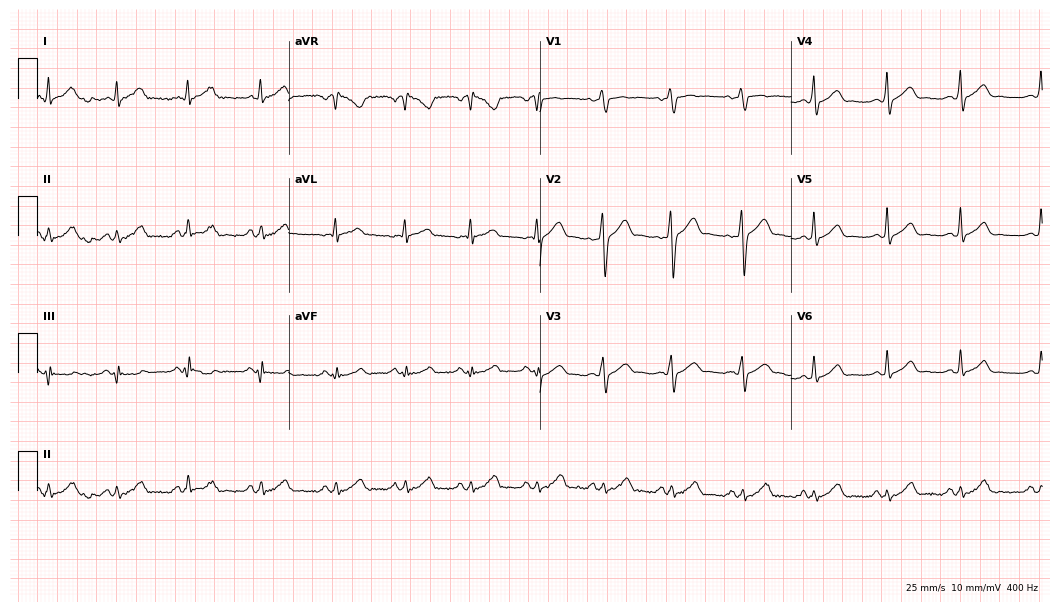
ECG — a 28-year-old male patient. Screened for six findings — first-degree AV block, right bundle branch block (RBBB), left bundle branch block (LBBB), sinus bradycardia, atrial fibrillation (AF), sinus tachycardia — none is recorded. Only these six findings were labelled.